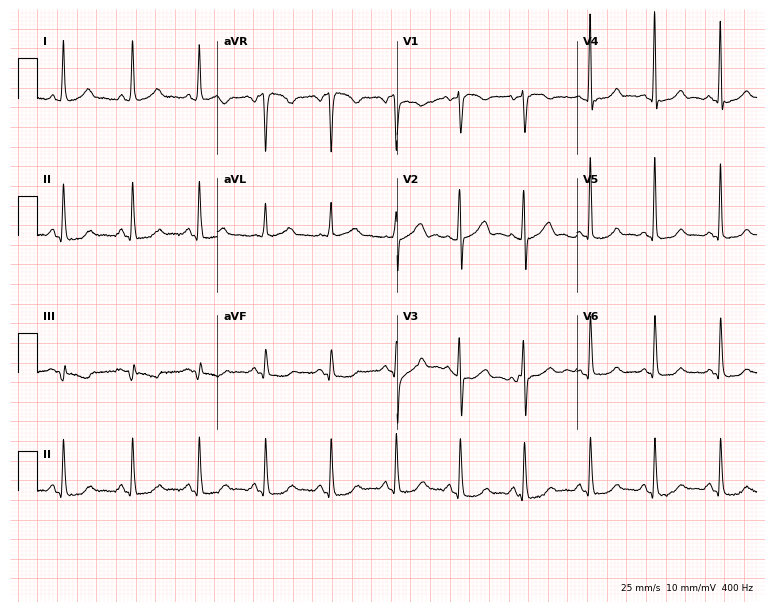
12-lead ECG (7.3-second recording at 400 Hz) from a female patient, 41 years old. Screened for six findings — first-degree AV block, right bundle branch block, left bundle branch block, sinus bradycardia, atrial fibrillation, sinus tachycardia — none is recorded.